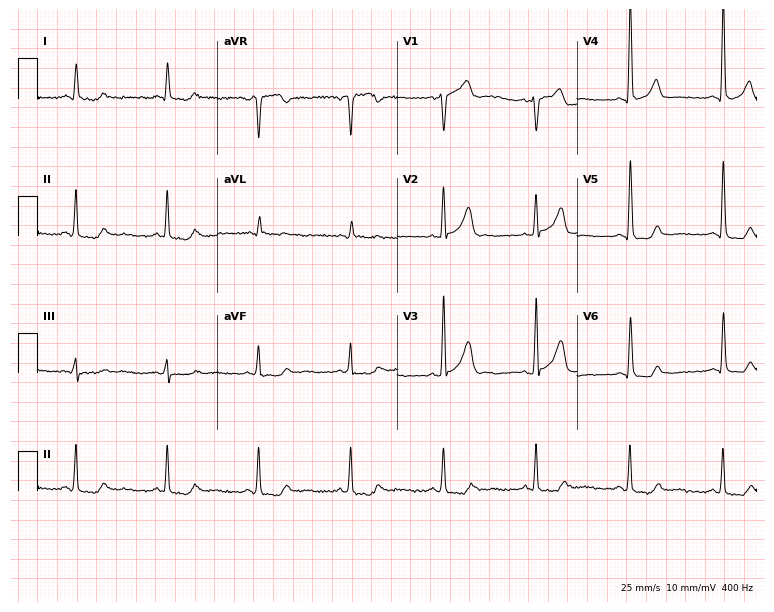
12-lead ECG from a 75-year-old male patient. Screened for six findings — first-degree AV block, right bundle branch block (RBBB), left bundle branch block (LBBB), sinus bradycardia, atrial fibrillation (AF), sinus tachycardia — none is recorded. Other findings, if any, are not listed.